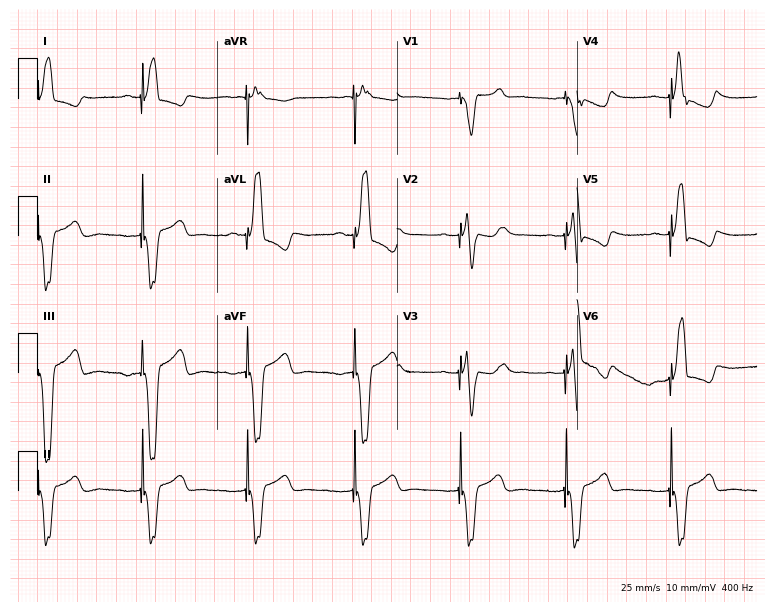
Standard 12-lead ECG recorded from a male, 67 years old. None of these six findings is recorded: first-degree AV block, right bundle branch block, left bundle branch block, sinus bradycardia, atrial fibrillation, sinus tachycardia.